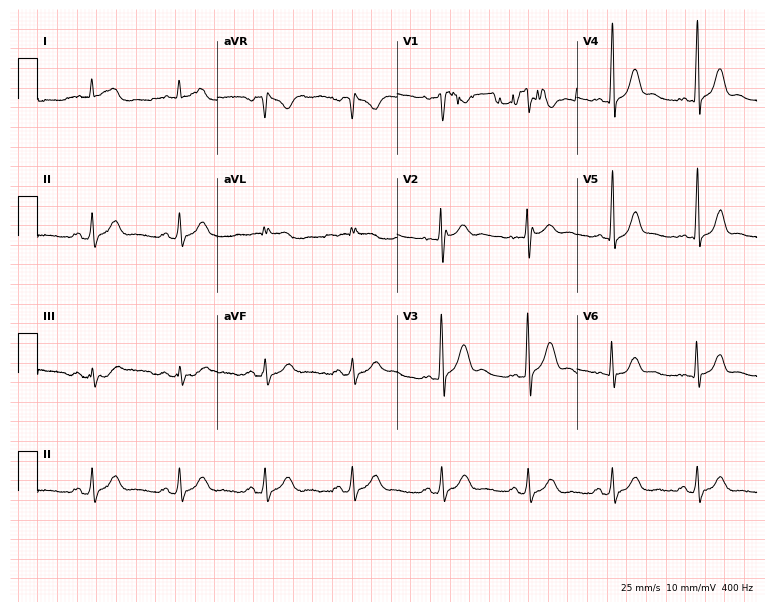
12-lead ECG (7.3-second recording at 400 Hz) from a male, 40 years old. Labelled as a normal ECG.